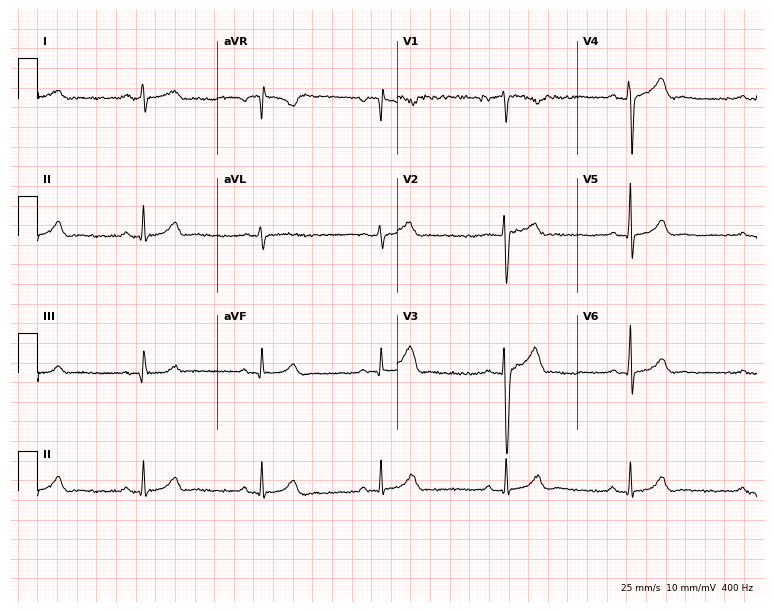
Electrocardiogram, a 30-year-old man. Interpretation includes sinus bradycardia (a sinus rate of 50 beats per minute or less).